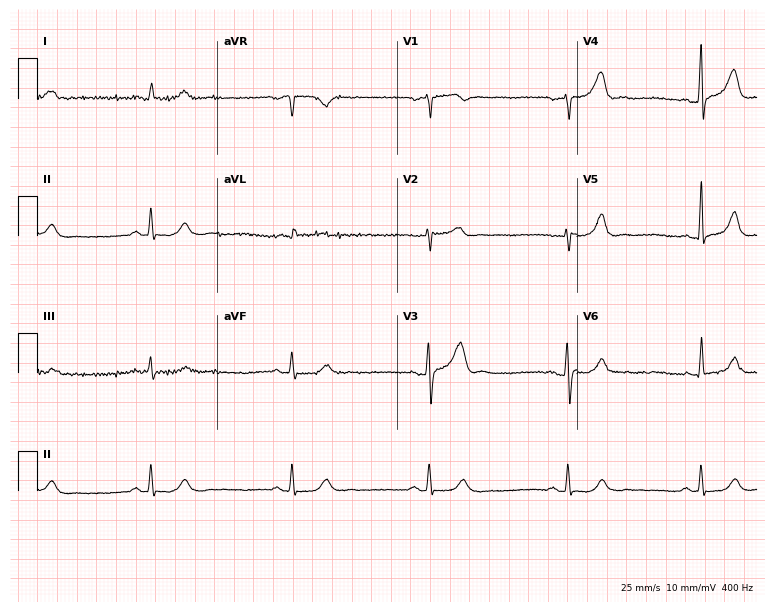
Electrocardiogram, a 58-year-old male. Interpretation includes sinus bradycardia (a sinus rate of 50 beats per minute or less).